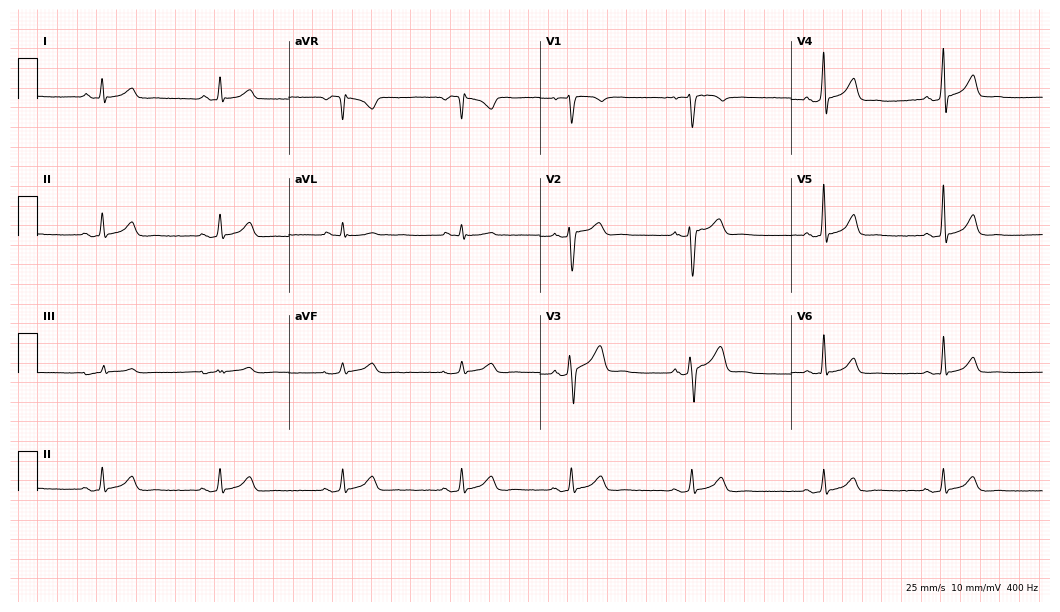
Resting 12-lead electrocardiogram (10.2-second recording at 400 Hz). Patient: a male, 30 years old. The tracing shows sinus bradycardia (a sinus rate of 50 beats per minute or less).